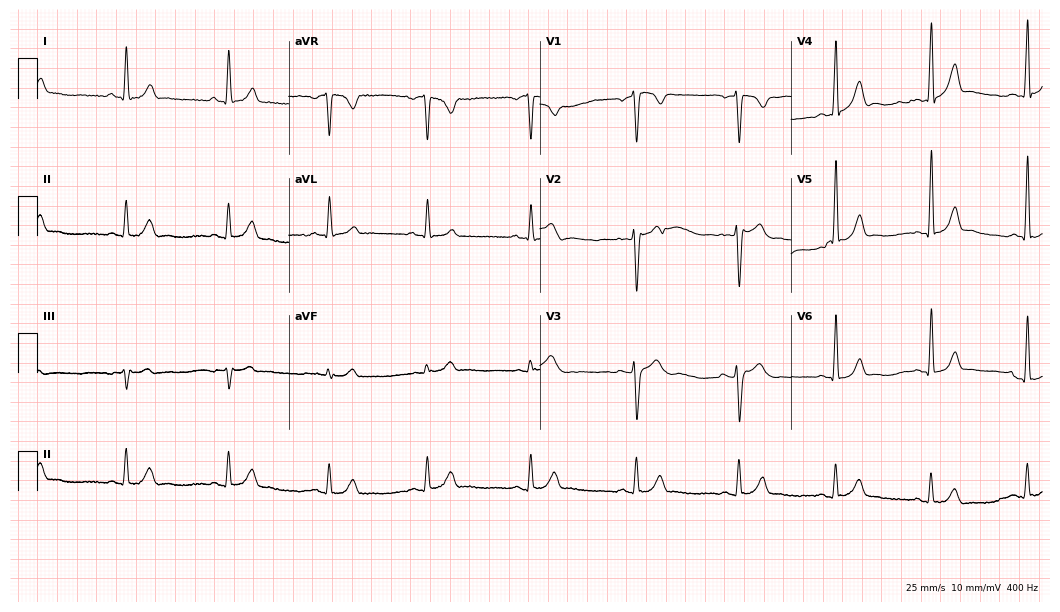
12-lead ECG from a 25-year-old man. Recorded interpretation: within normal limits.